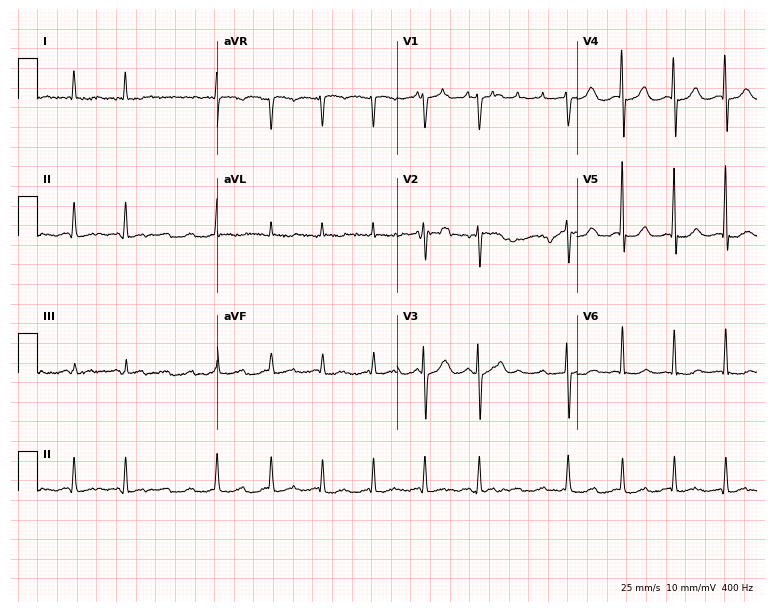
12-lead ECG from a 79-year-old male patient (7.3-second recording at 400 Hz). Shows atrial fibrillation.